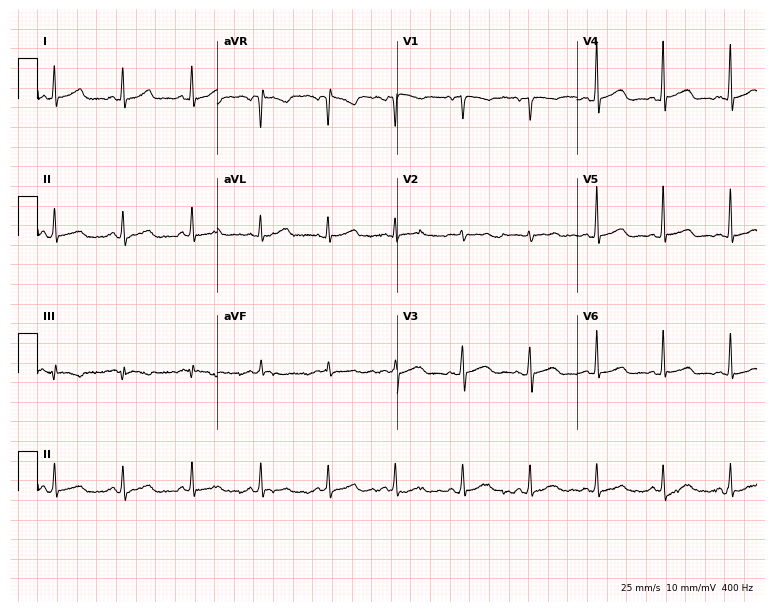
Electrocardiogram, a 35-year-old female patient. Overall reading on record: normal ECG.